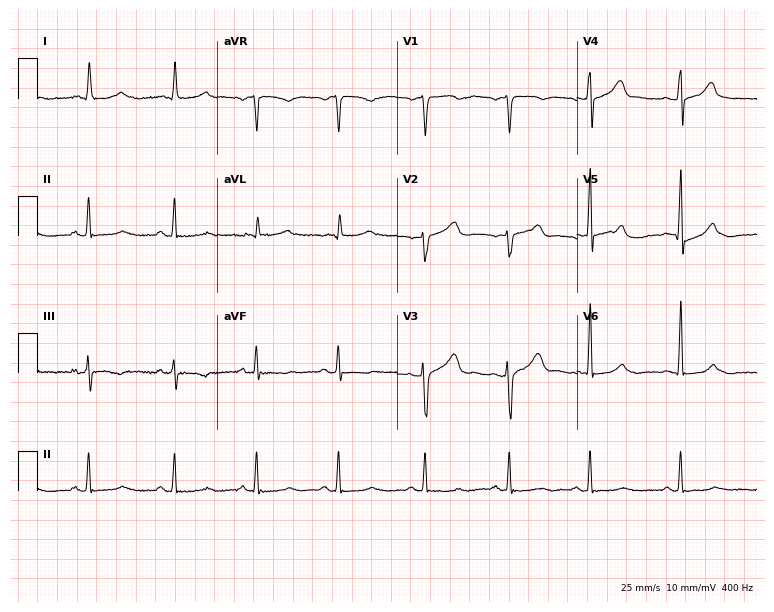
12-lead ECG (7.3-second recording at 400 Hz) from a 52-year-old man. Screened for six findings — first-degree AV block, right bundle branch block, left bundle branch block, sinus bradycardia, atrial fibrillation, sinus tachycardia — none is recorded. Only these six findings were labelled.